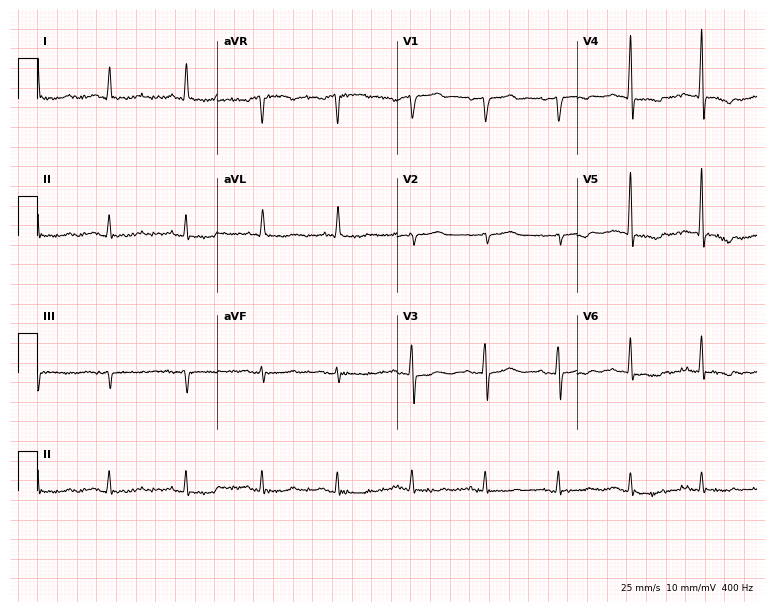
Resting 12-lead electrocardiogram. Patient: an 81-year-old man. None of these six findings is recorded: first-degree AV block, right bundle branch block, left bundle branch block, sinus bradycardia, atrial fibrillation, sinus tachycardia.